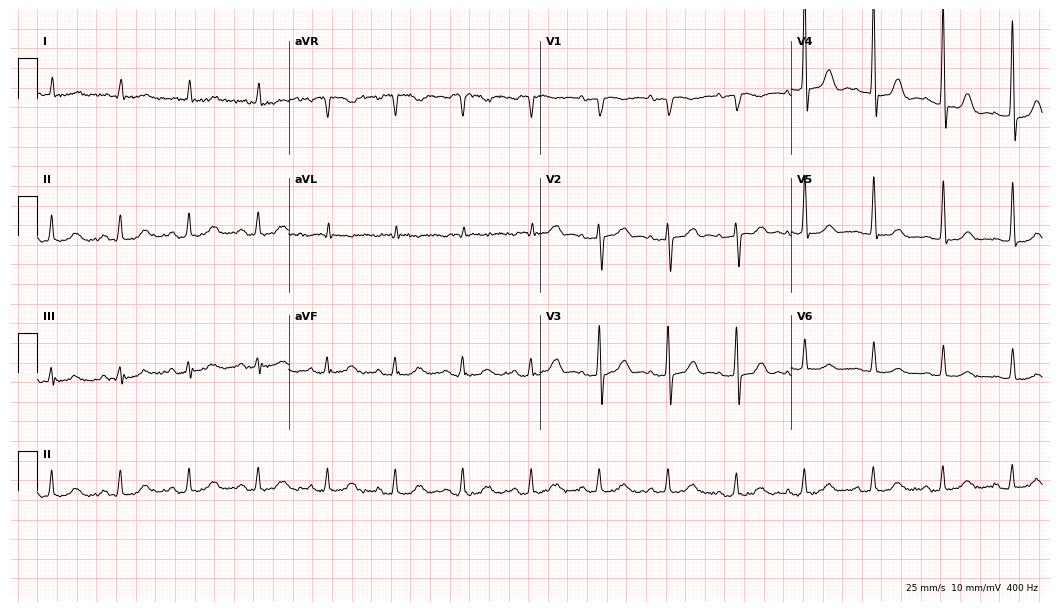
12-lead ECG from a female patient, 76 years old. Labelled as a normal ECG.